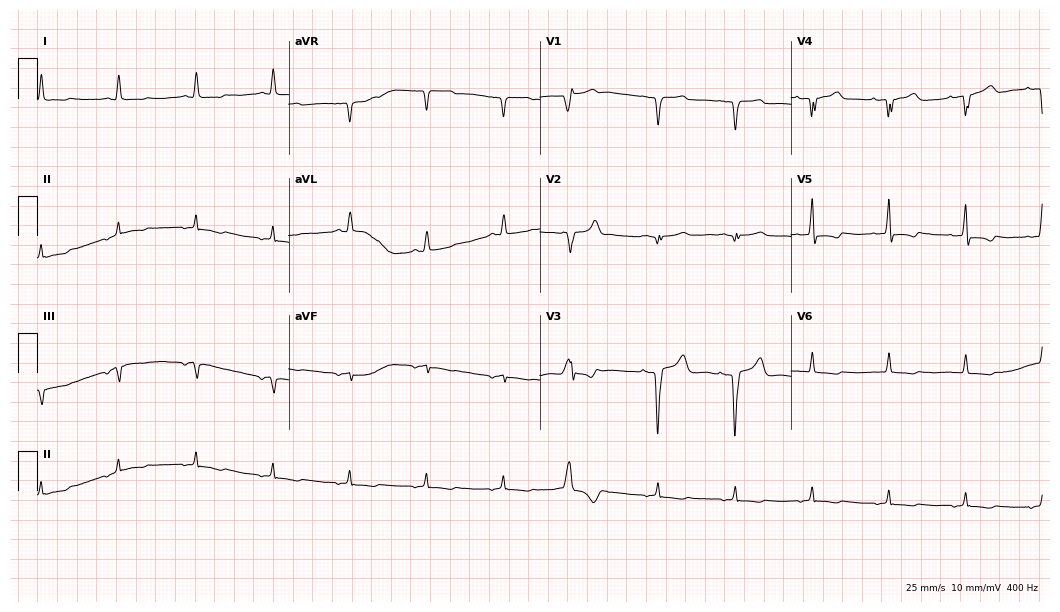
12-lead ECG from a female, 79 years old. No first-degree AV block, right bundle branch block, left bundle branch block, sinus bradycardia, atrial fibrillation or sinus tachycardia recorded for this tracing.